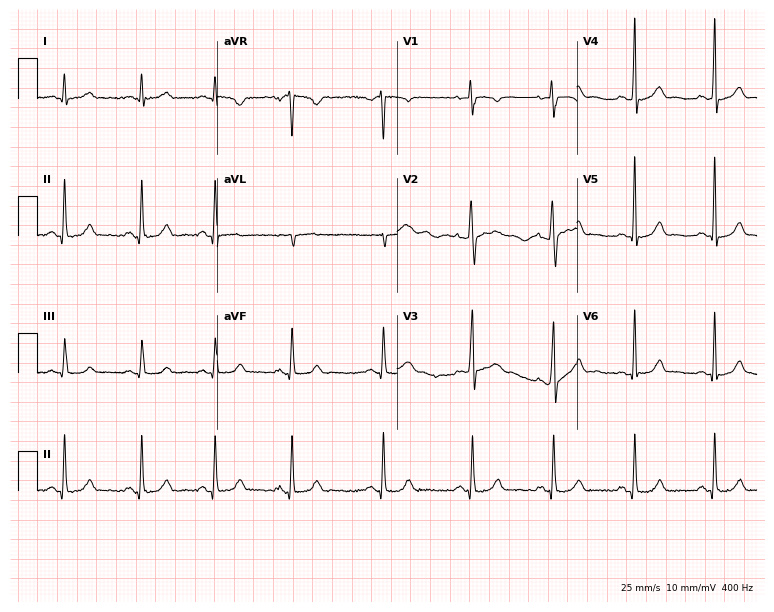
Electrocardiogram (7.3-second recording at 400 Hz), a woman, 18 years old. Overall reading on record: normal ECG.